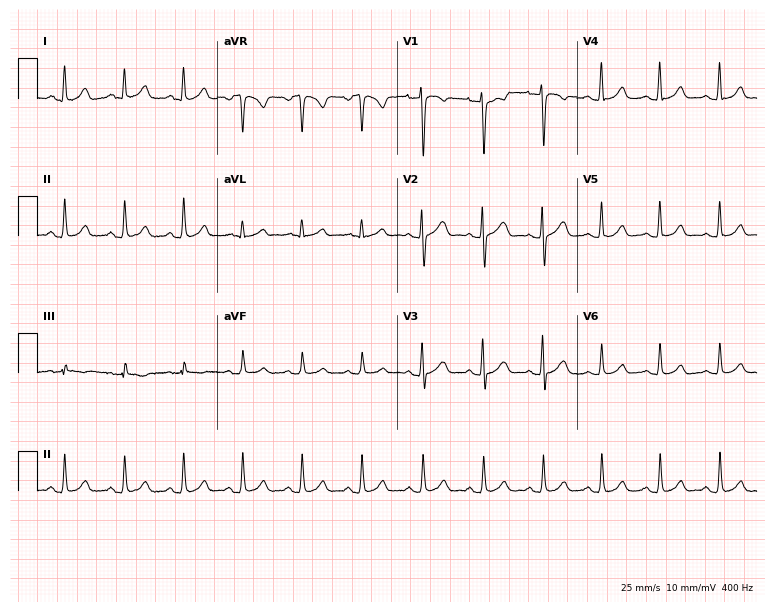
Standard 12-lead ECG recorded from a 24-year-old female. Read as a normal ECG.